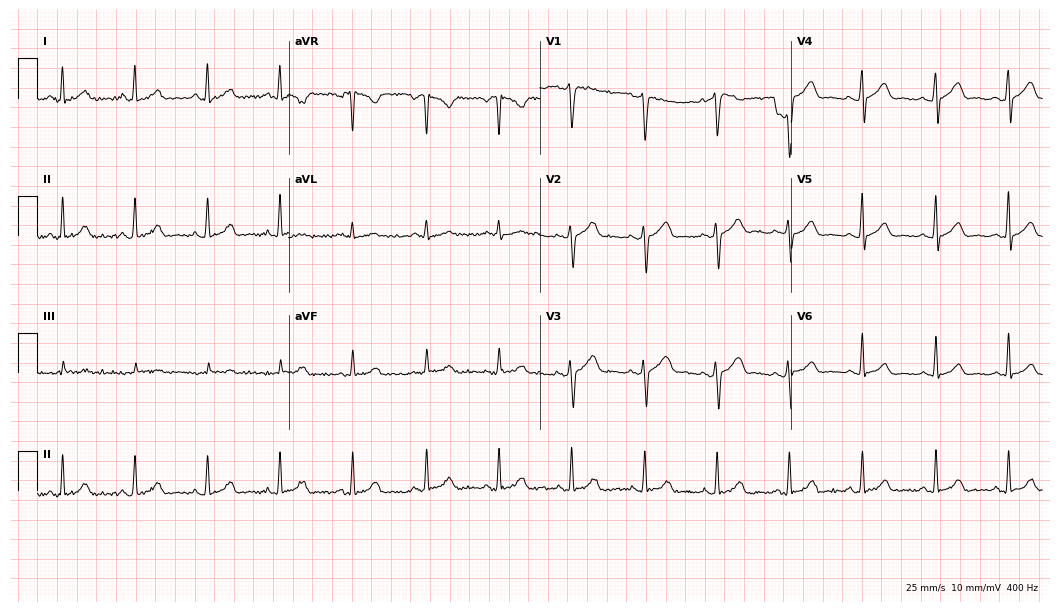
Electrocardiogram, a 32-year-old female. Of the six screened findings (first-degree AV block, right bundle branch block, left bundle branch block, sinus bradycardia, atrial fibrillation, sinus tachycardia), none is recorded.